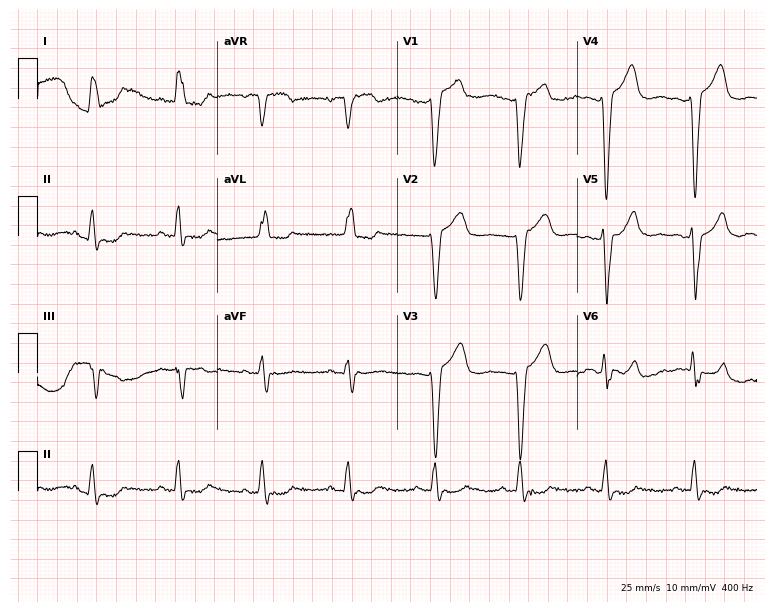
Resting 12-lead electrocardiogram. Patient: a female, 74 years old. The tracing shows left bundle branch block.